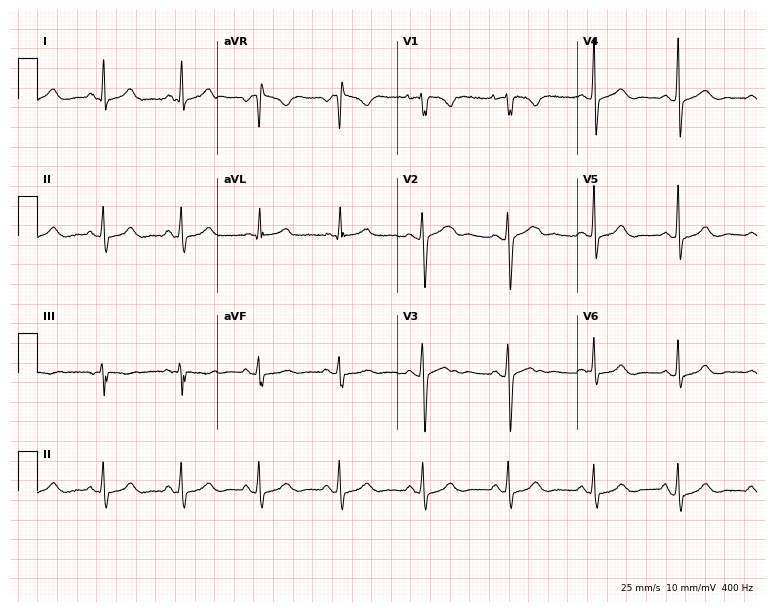
12-lead ECG from a woman, 26 years old. Labelled as a normal ECG.